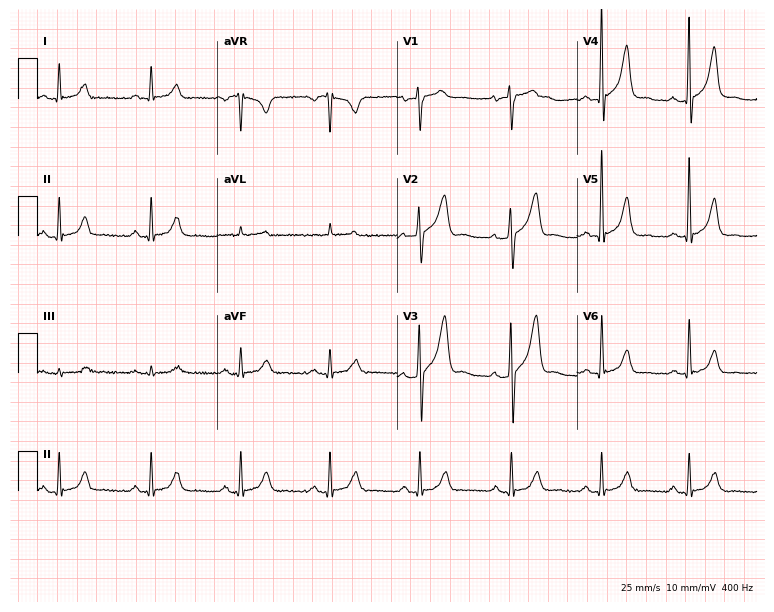
Resting 12-lead electrocardiogram (7.3-second recording at 400 Hz). Patient: a male, 46 years old. None of these six findings is recorded: first-degree AV block, right bundle branch block, left bundle branch block, sinus bradycardia, atrial fibrillation, sinus tachycardia. Only these six findings were labelled.